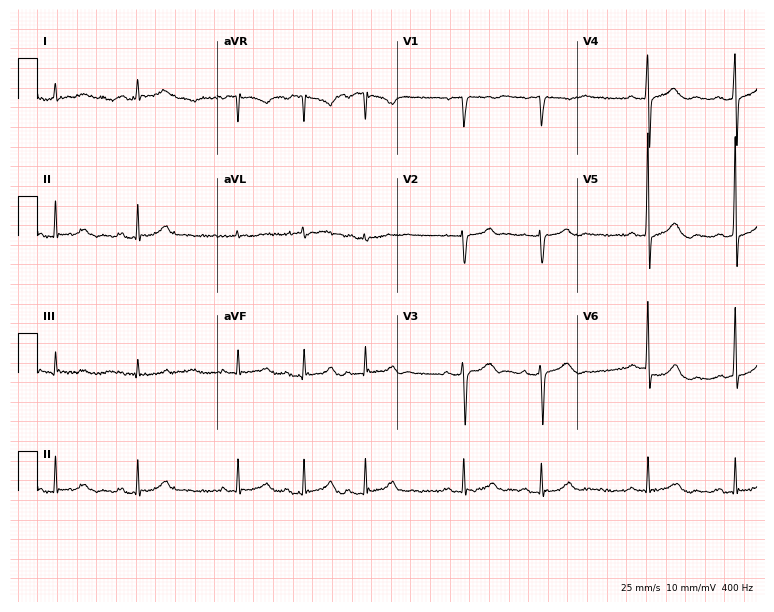
12-lead ECG from an 84-year-old male patient. Labelled as a normal ECG.